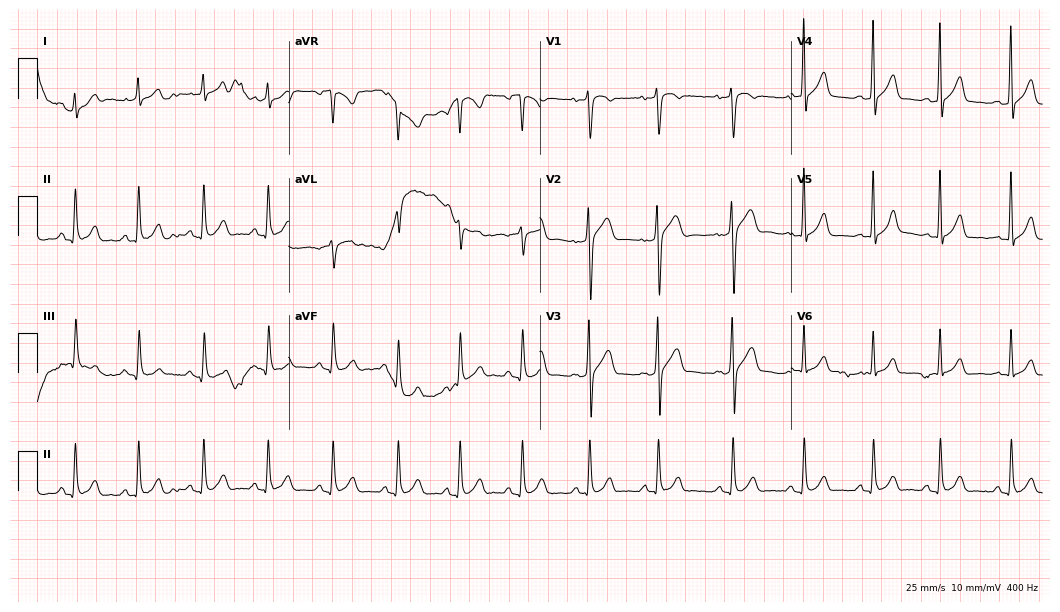
12-lead ECG (10.2-second recording at 400 Hz) from a 26-year-old male. Screened for six findings — first-degree AV block, right bundle branch block, left bundle branch block, sinus bradycardia, atrial fibrillation, sinus tachycardia — none is recorded. Findings outside these six are not listed.